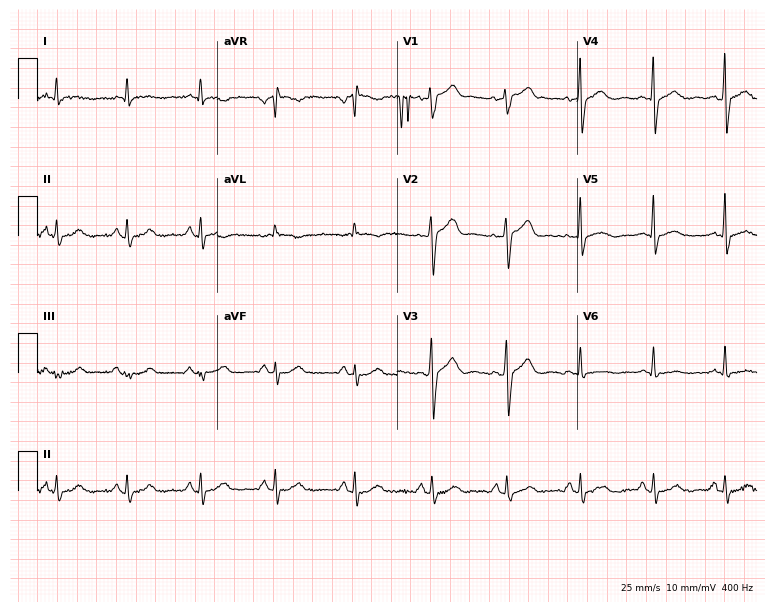
Resting 12-lead electrocardiogram. Patient: a 54-year-old female. None of these six findings is recorded: first-degree AV block, right bundle branch block (RBBB), left bundle branch block (LBBB), sinus bradycardia, atrial fibrillation (AF), sinus tachycardia.